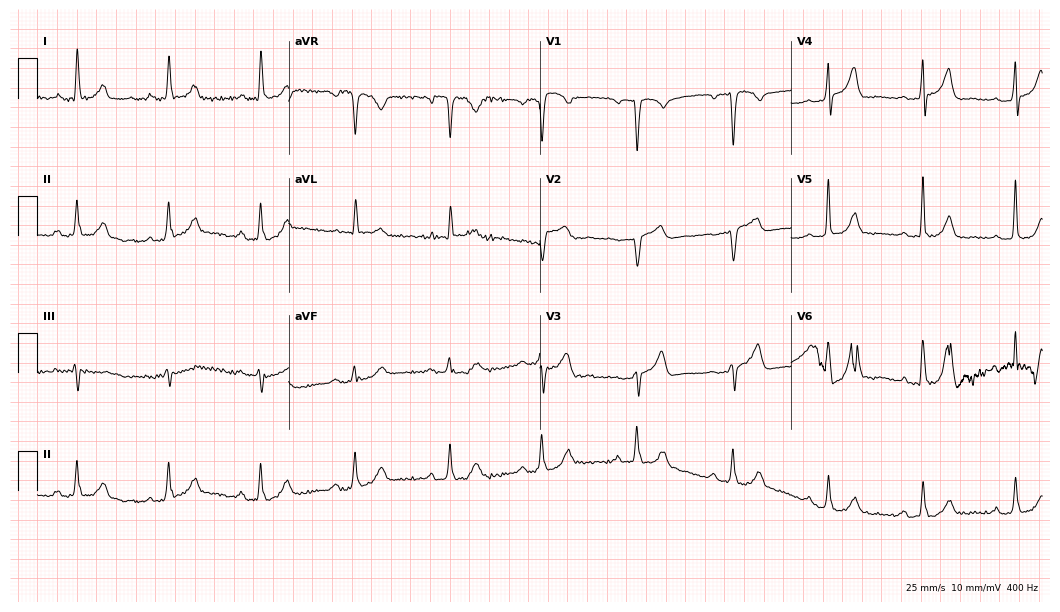
ECG (10.2-second recording at 400 Hz) — a woman, 64 years old. Screened for six findings — first-degree AV block, right bundle branch block (RBBB), left bundle branch block (LBBB), sinus bradycardia, atrial fibrillation (AF), sinus tachycardia — none is recorded. Only these six findings were labelled.